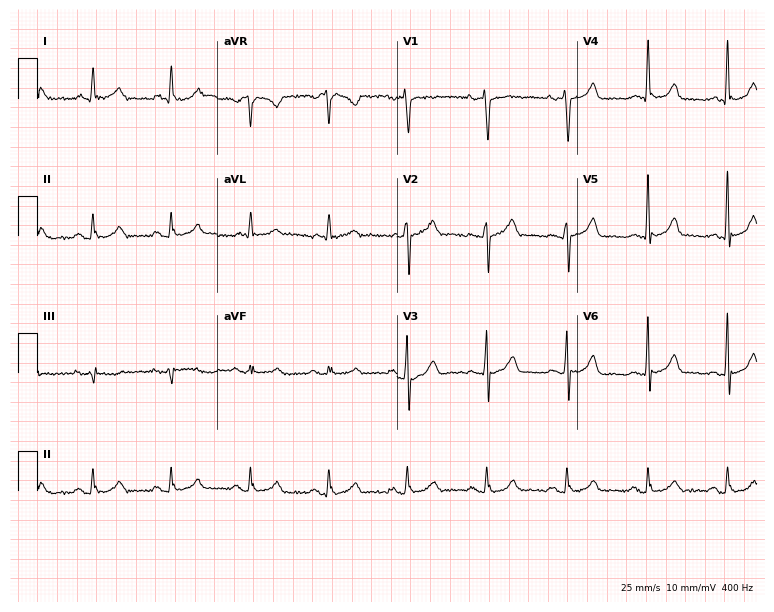
ECG (7.3-second recording at 400 Hz) — a 49-year-old man. Screened for six findings — first-degree AV block, right bundle branch block, left bundle branch block, sinus bradycardia, atrial fibrillation, sinus tachycardia — none is recorded. Other findings, if any, are not listed.